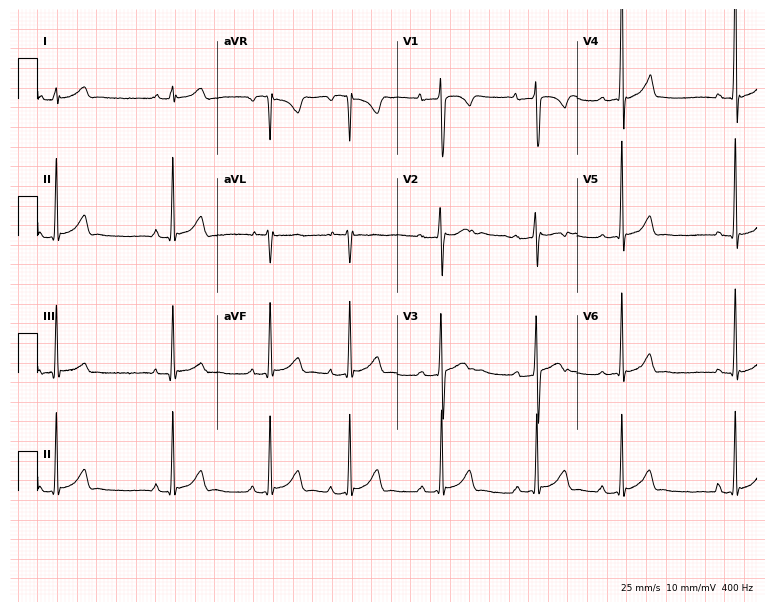
ECG — a 17-year-old male. Labelled as a normal ECG.